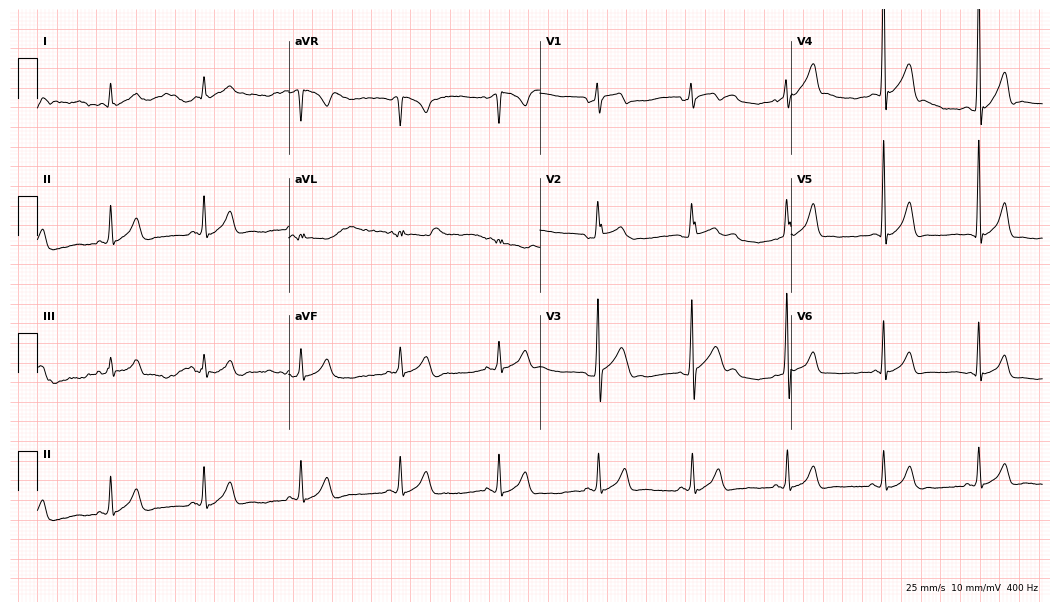
ECG (10.2-second recording at 400 Hz) — a male, 17 years old. Screened for six findings — first-degree AV block, right bundle branch block, left bundle branch block, sinus bradycardia, atrial fibrillation, sinus tachycardia — none is recorded.